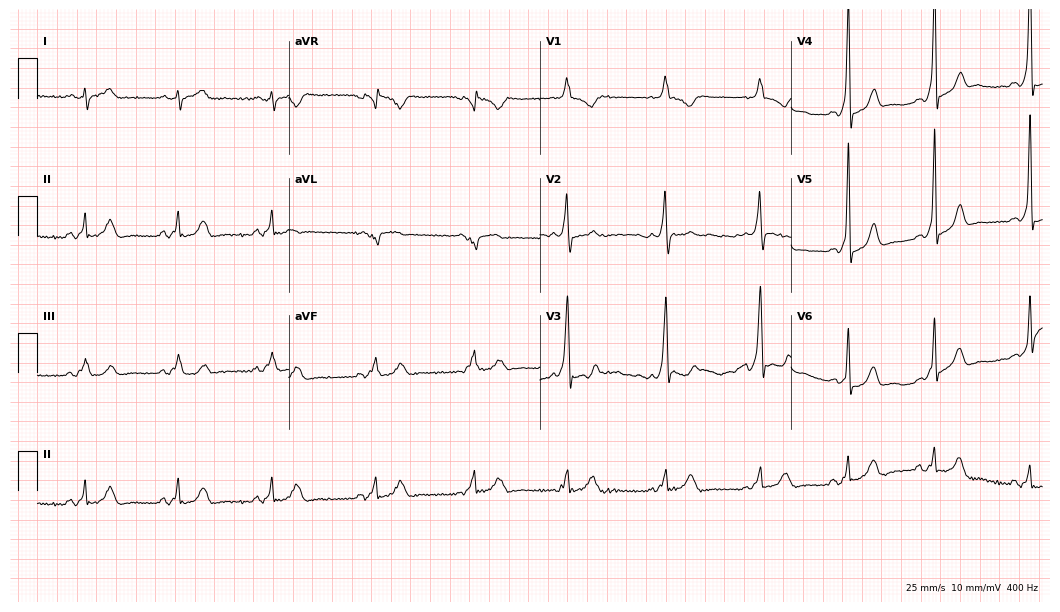
Electrocardiogram, a male, 35 years old. Of the six screened findings (first-degree AV block, right bundle branch block, left bundle branch block, sinus bradycardia, atrial fibrillation, sinus tachycardia), none is recorded.